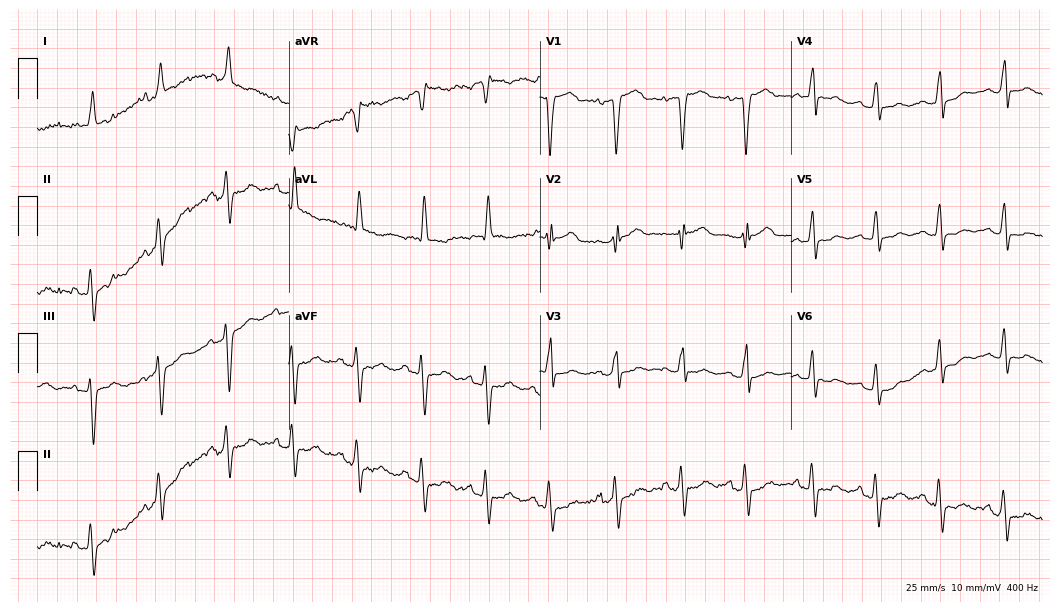
Resting 12-lead electrocardiogram. Patient: a 77-year-old female. None of these six findings is recorded: first-degree AV block, right bundle branch block, left bundle branch block, sinus bradycardia, atrial fibrillation, sinus tachycardia.